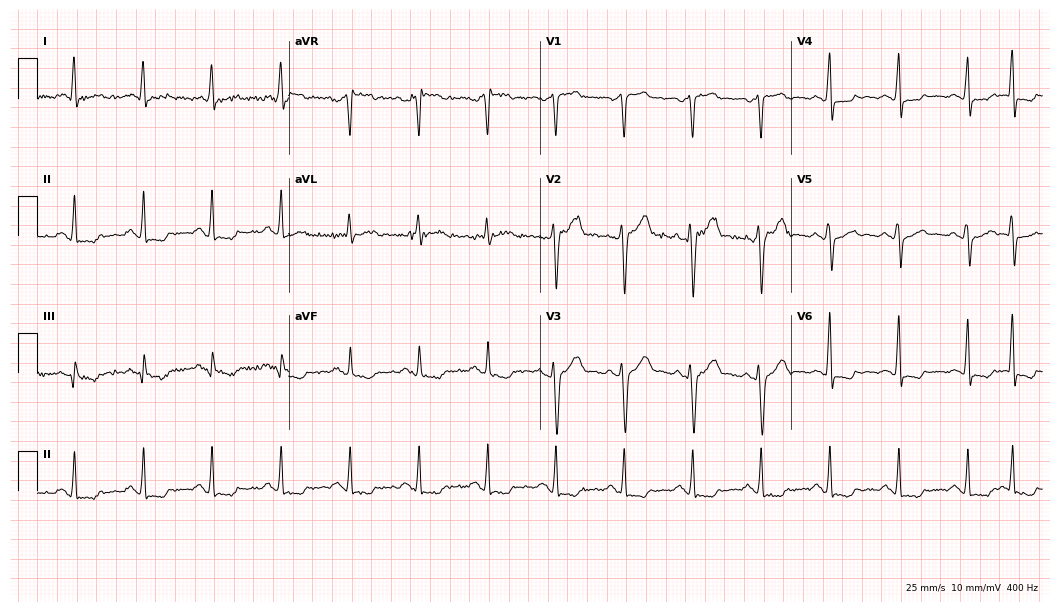
12-lead ECG from a 60-year-old male. Screened for six findings — first-degree AV block, right bundle branch block, left bundle branch block, sinus bradycardia, atrial fibrillation, sinus tachycardia — none is recorded.